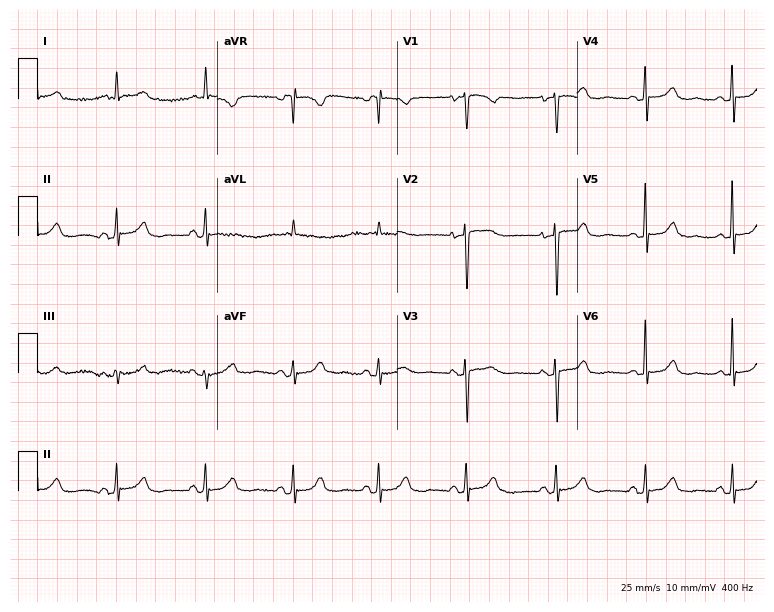
Resting 12-lead electrocardiogram (7.3-second recording at 400 Hz). Patient: an 81-year-old woman. None of these six findings is recorded: first-degree AV block, right bundle branch block, left bundle branch block, sinus bradycardia, atrial fibrillation, sinus tachycardia. Other findings, if any, are not listed.